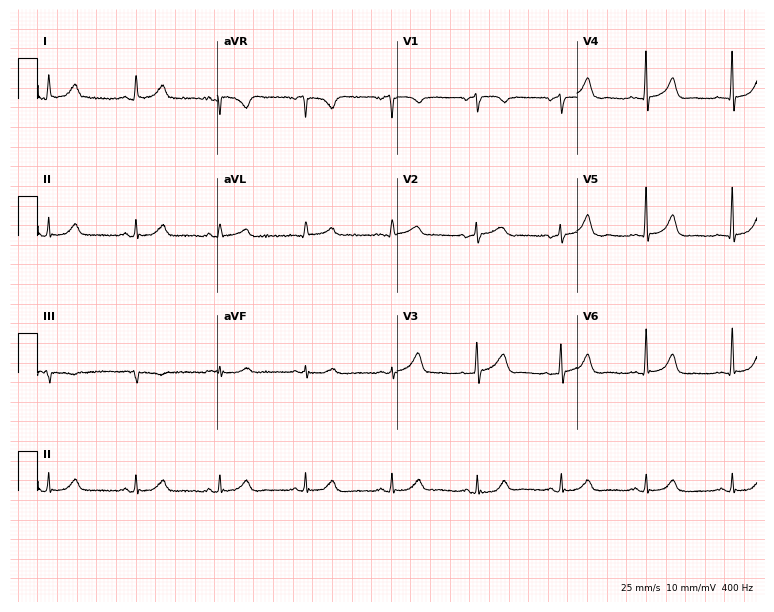
12-lead ECG (7.3-second recording at 400 Hz) from a 66-year-old male. Screened for six findings — first-degree AV block, right bundle branch block, left bundle branch block, sinus bradycardia, atrial fibrillation, sinus tachycardia — none is recorded.